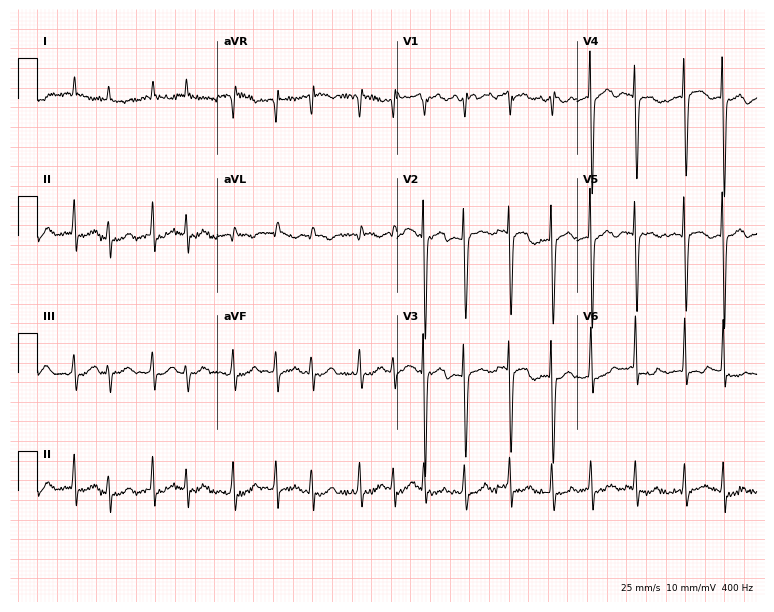
12-lead ECG from a woman, 81 years old. Shows atrial fibrillation.